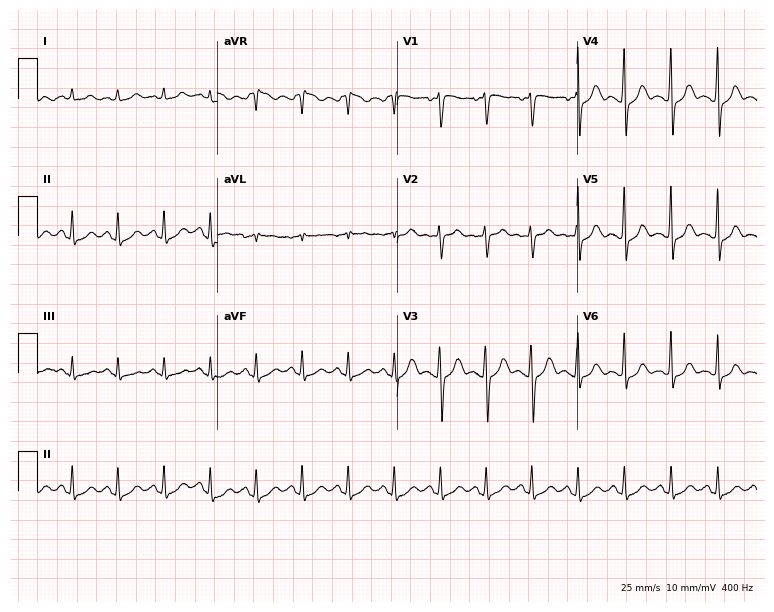
ECG (7.3-second recording at 400 Hz) — a woman, 35 years old. Findings include sinus tachycardia (a sinus rate of 100 beats per minute or more).